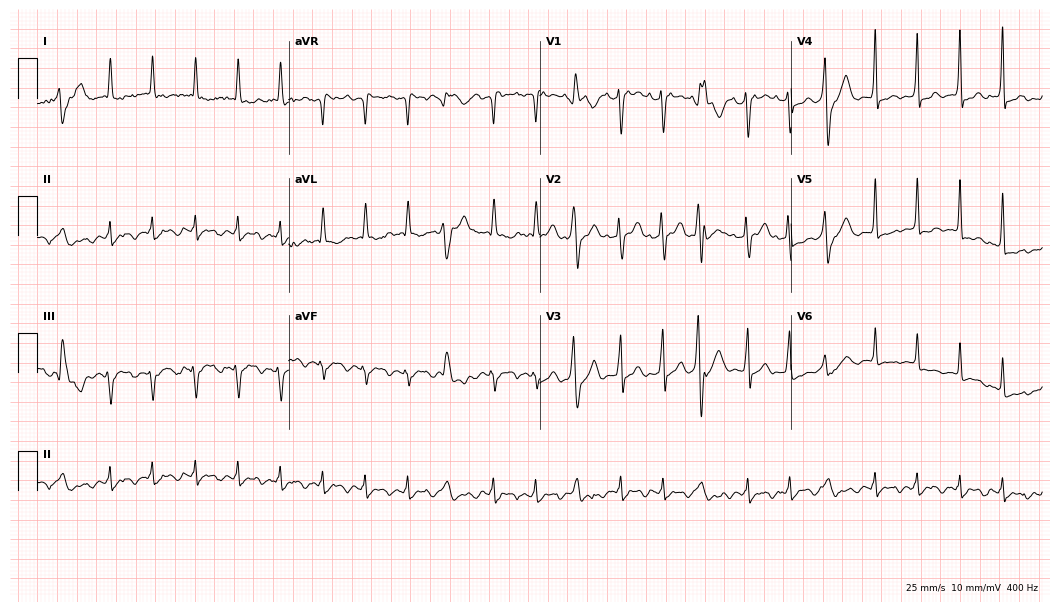
12-lead ECG from a woman, 83 years old. Screened for six findings — first-degree AV block, right bundle branch block, left bundle branch block, sinus bradycardia, atrial fibrillation, sinus tachycardia — none is recorded. Findings outside these six are not listed.